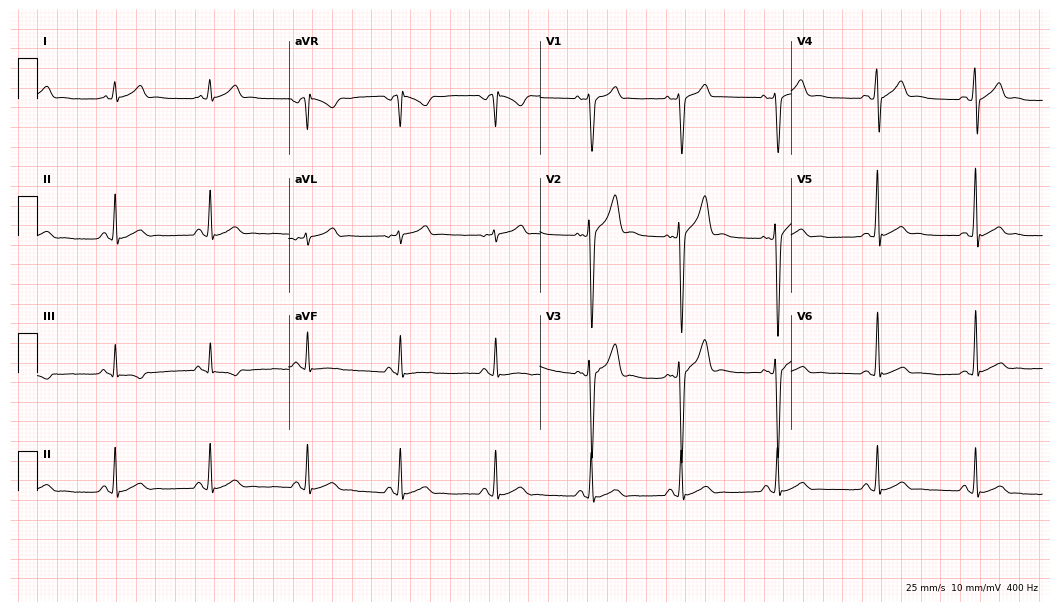
Standard 12-lead ECG recorded from a 21-year-old male. Read as a normal ECG.